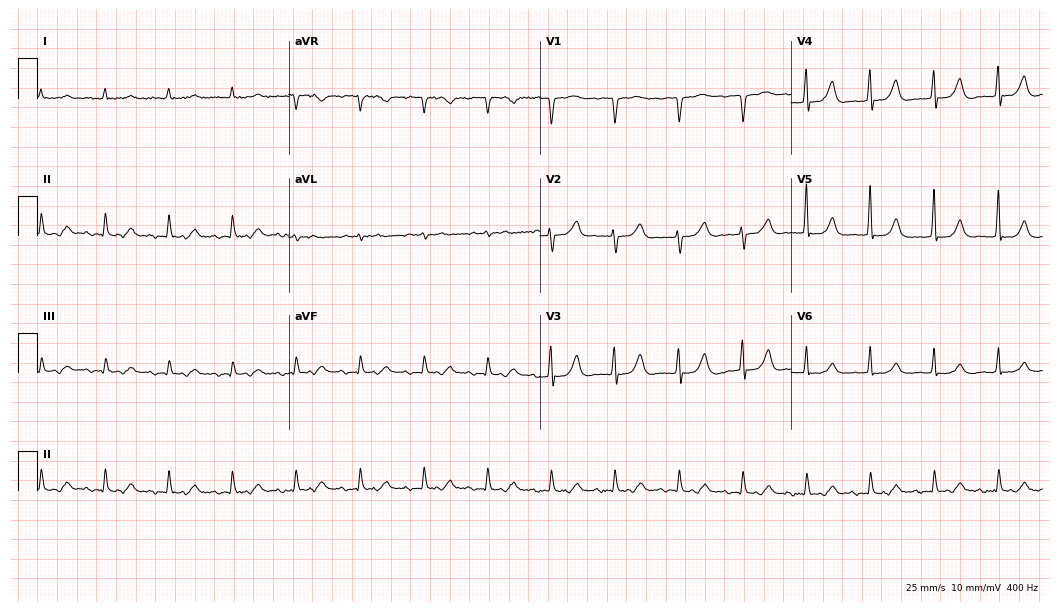
Resting 12-lead electrocardiogram (10.2-second recording at 400 Hz). Patient: a male, 83 years old. None of these six findings is recorded: first-degree AV block, right bundle branch block (RBBB), left bundle branch block (LBBB), sinus bradycardia, atrial fibrillation (AF), sinus tachycardia. Only these six findings were labelled.